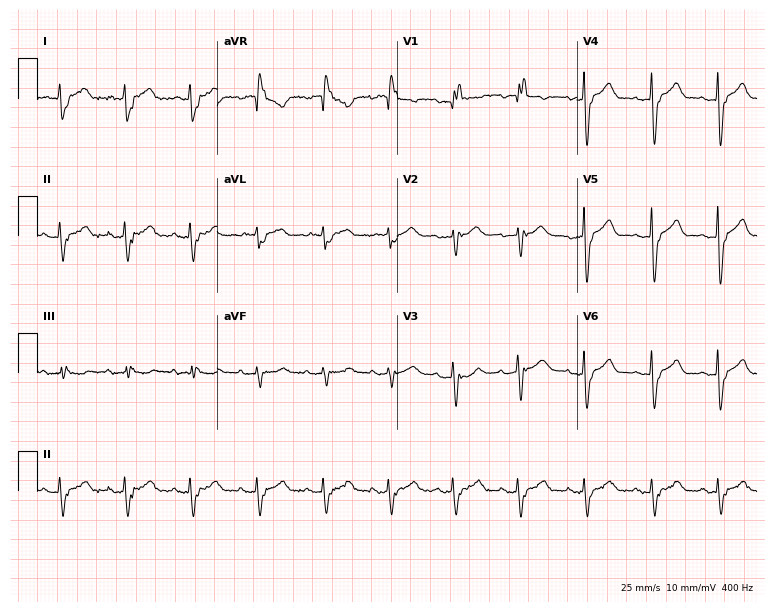
12-lead ECG from an 88-year-old woman. Findings include right bundle branch block.